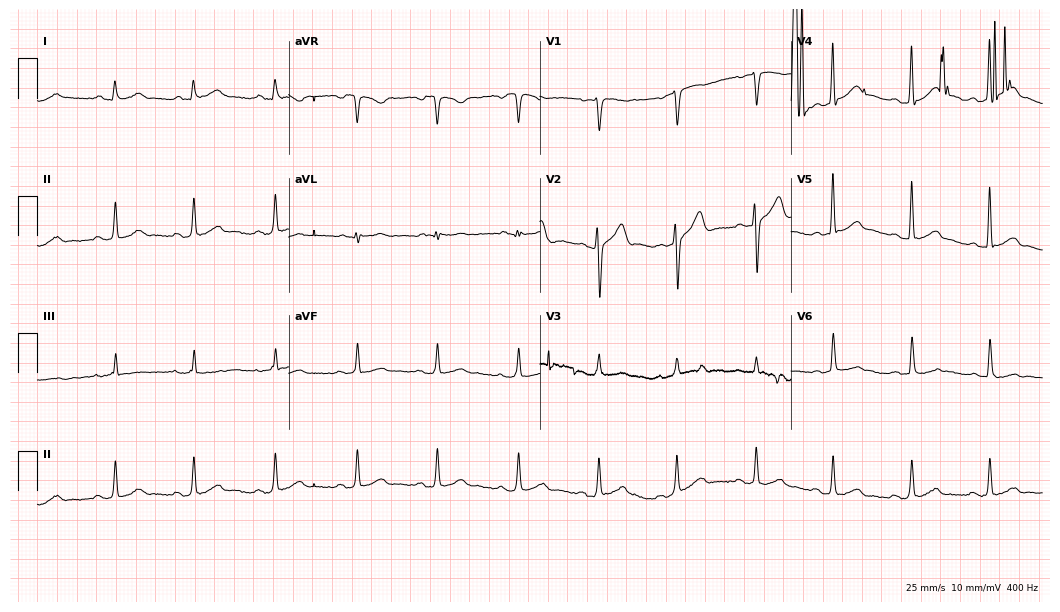
Electrocardiogram (10.2-second recording at 400 Hz), a male, 28 years old. Of the six screened findings (first-degree AV block, right bundle branch block, left bundle branch block, sinus bradycardia, atrial fibrillation, sinus tachycardia), none is recorded. Findings outside these six are not listed.